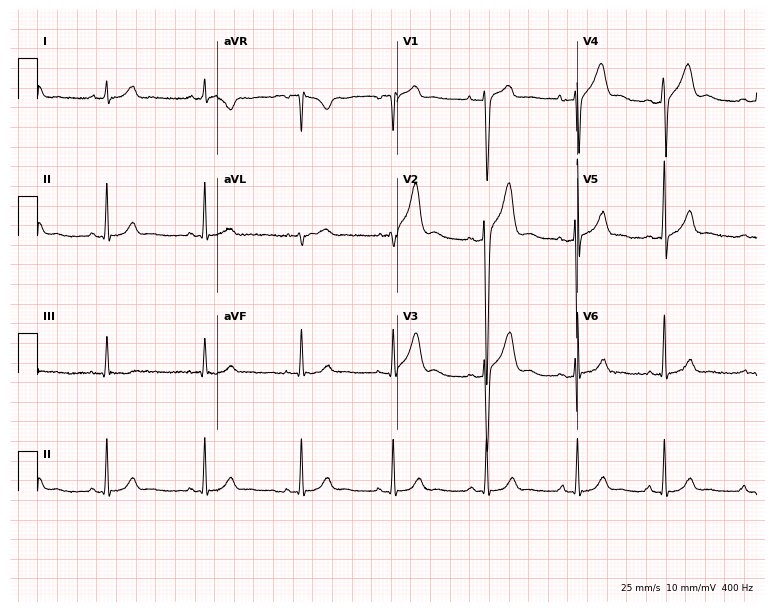
ECG (7.3-second recording at 400 Hz) — a male patient, 26 years old. Screened for six findings — first-degree AV block, right bundle branch block, left bundle branch block, sinus bradycardia, atrial fibrillation, sinus tachycardia — none is recorded.